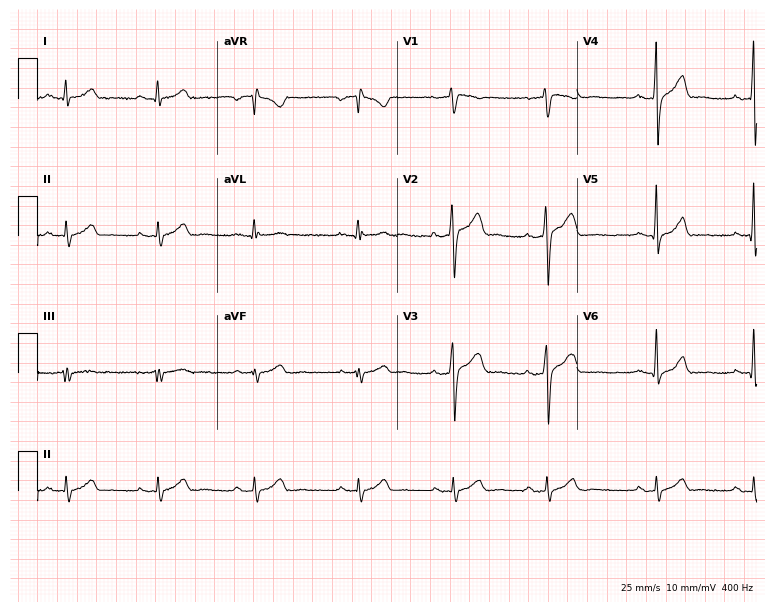
ECG — a 26-year-old male patient. Labelled as a normal ECG.